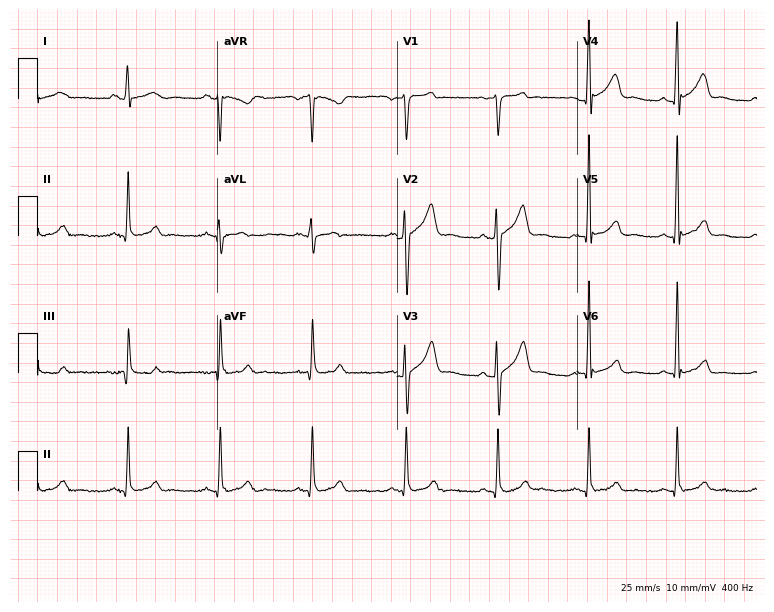
Standard 12-lead ECG recorded from a 29-year-old male. None of these six findings is recorded: first-degree AV block, right bundle branch block, left bundle branch block, sinus bradycardia, atrial fibrillation, sinus tachycardia. Other findings, if any, are not listed.